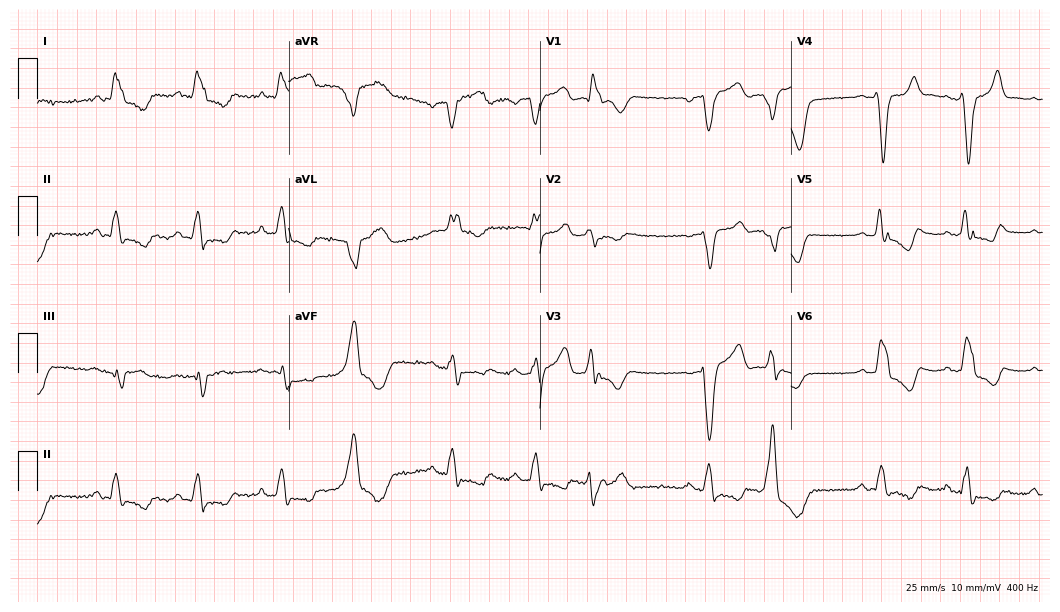
12-lead ECG from a male patient, 77 years old. Shows left bundle branch block.